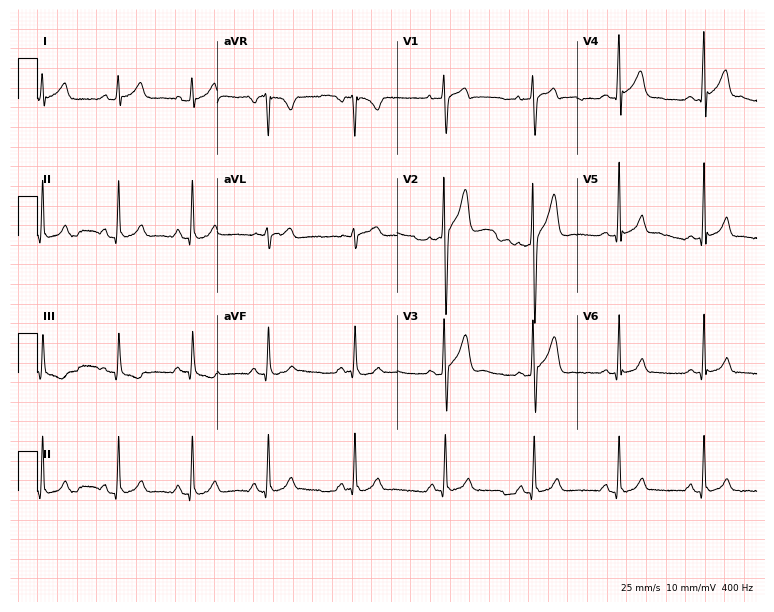
ECG — a male patient, 22 years old. Labelled as a normal ECG.